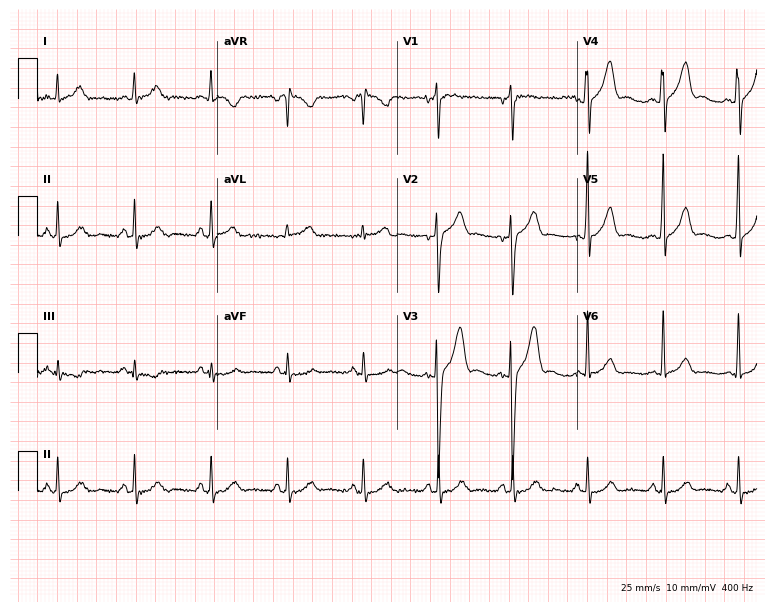
12-lead ECG (7.3-second recording at 400 Hz) from a male, 48 years old. Screened for six findings — first-degree AV block, right bundle branch block (RBBB), left bundle branch block (LBBB), sinus bradycardia, atrial fibrillation (AF), sinus tachycardia — none is recorded.